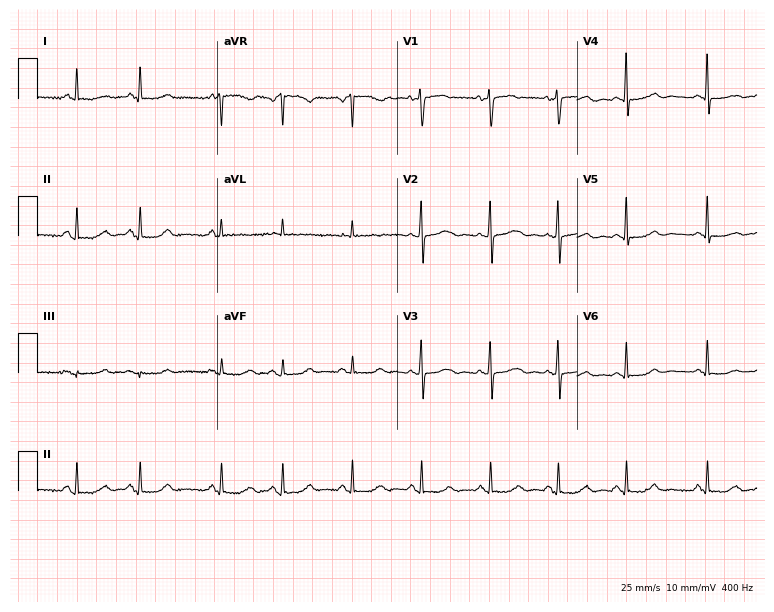
ECG (7.3-second recording at 400 Hz) — a 66-year-old female patient. Labelled as a normal ECG.